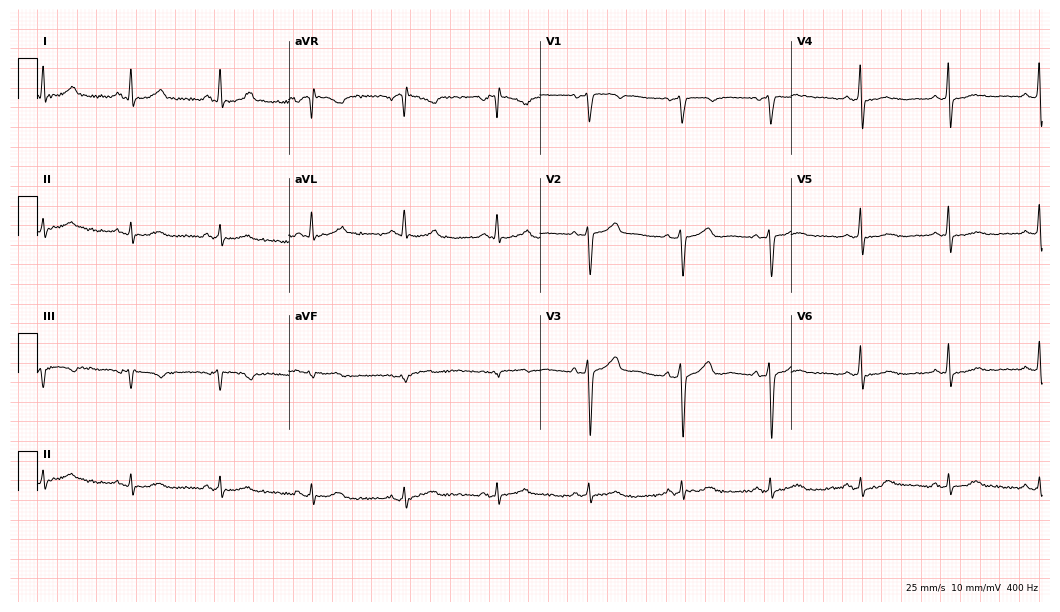
ECG — a 37-year-old woman. Labelled as a normal ECG.